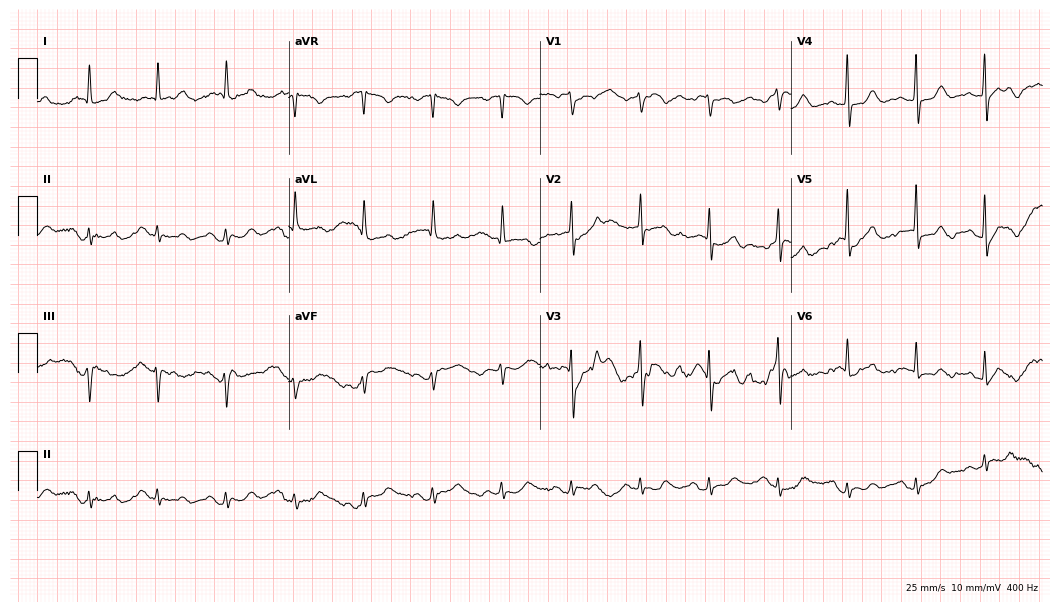
Electrocardiogram, an 82-year-old woman. Of the six screened findings (first-degree AV block, right bundle branch block, left bundle branch block, sinus bradycardia, atrial fibrillation, sinus tachycardia), none is recorded.